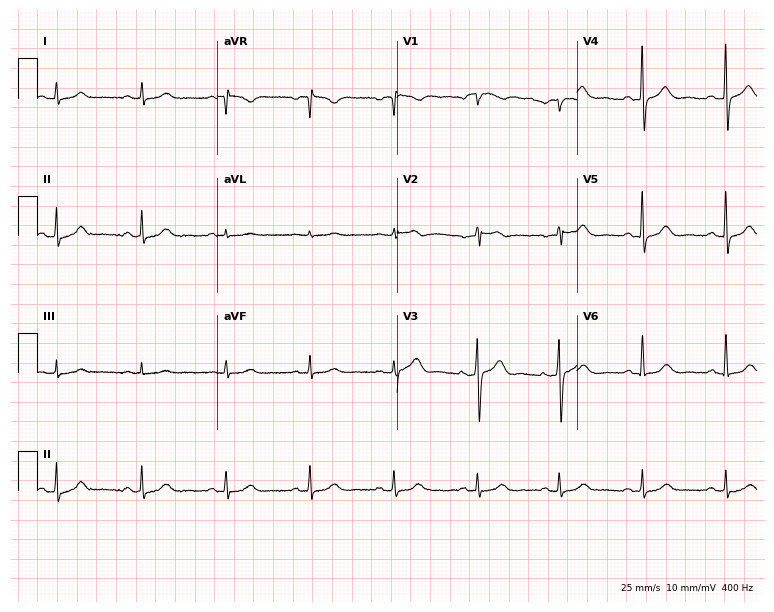
12-lead ECG from an 81-year-old woman (7.3-second recording at 400 Hz). Recorded interpretation: within normal limits.